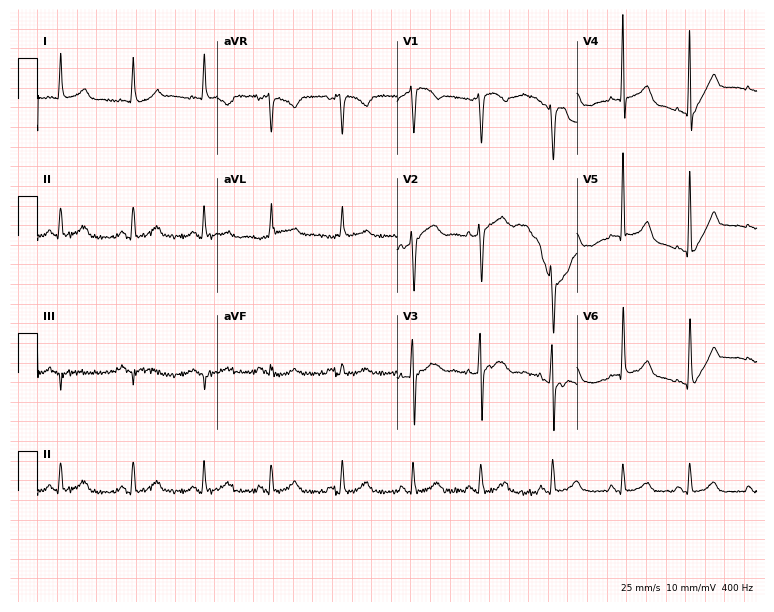
Resting 12-lead electrocardiogram (7.3-second recording at 400 Hz). Patient: a 38-year-old female. None of these six findings is recorded: first-degree AV block, right bundle branch block, left bundle branch block, sinus bradycardia, atrial fibrillation, sinus tachycardia. Findings outside these six are not listed.